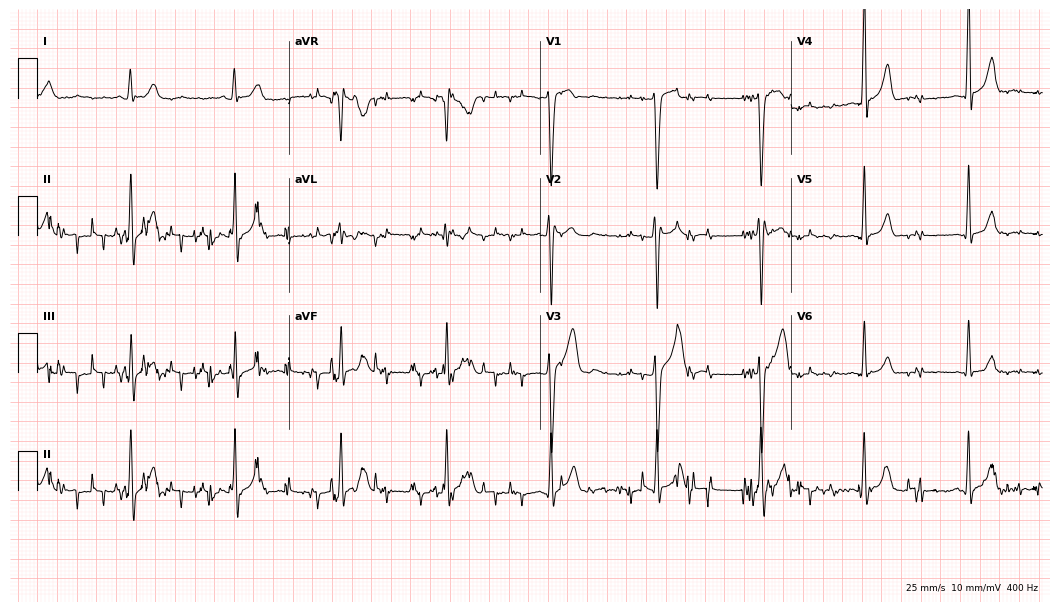
Electrocardiogram, a male patient, 34 years old. Of the six screened findings (first-degree AV block, right bundle branch block, left bundle branch block, sinus bradycardia, atrial fibrillation, sinus tachycardia), none is recorded. Findings outside these six are not listed.